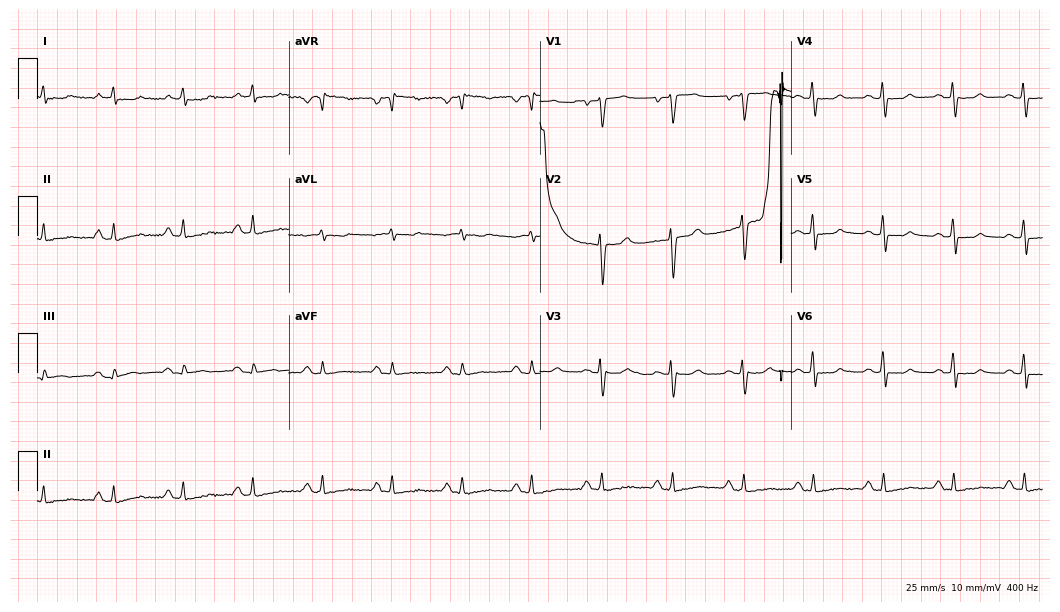
12-lead ECG from a 72-year-old female patient (10.2-second recording at 400 Hz). No first-degree AV block, right bundle branch block, left bundle branch block, sinus bradycardia, atrial fibrillation or sinus tachycardia recorded for this tracing. Only these six findings were labelled.